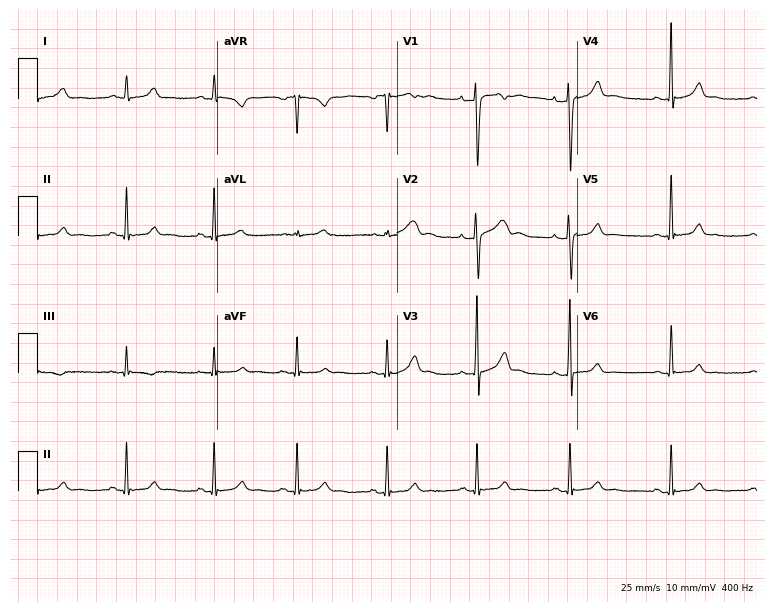
12-lead ECG from a male, 19 years old. Labelled as a normal ECG.